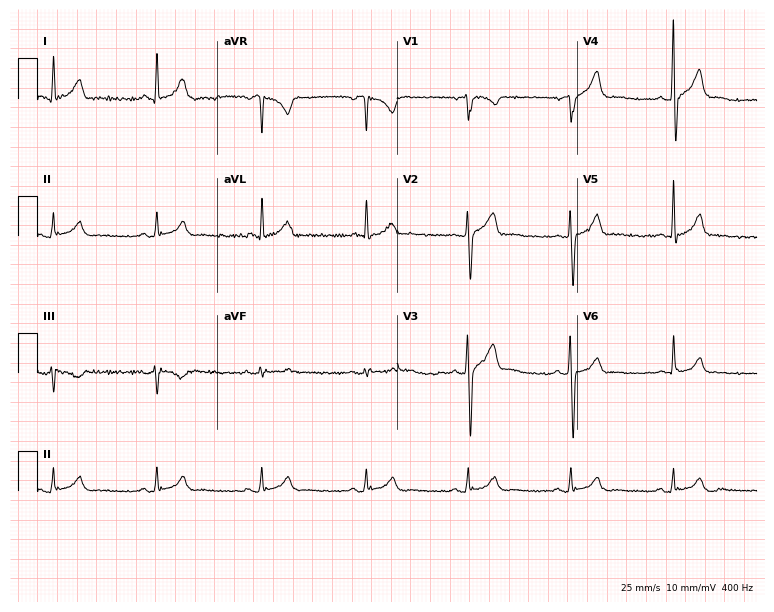
Standard 12-lead ECG recorded from a 54-year-old male patient (7.3-second recording at 400 Hz). Read as a normal ECG.